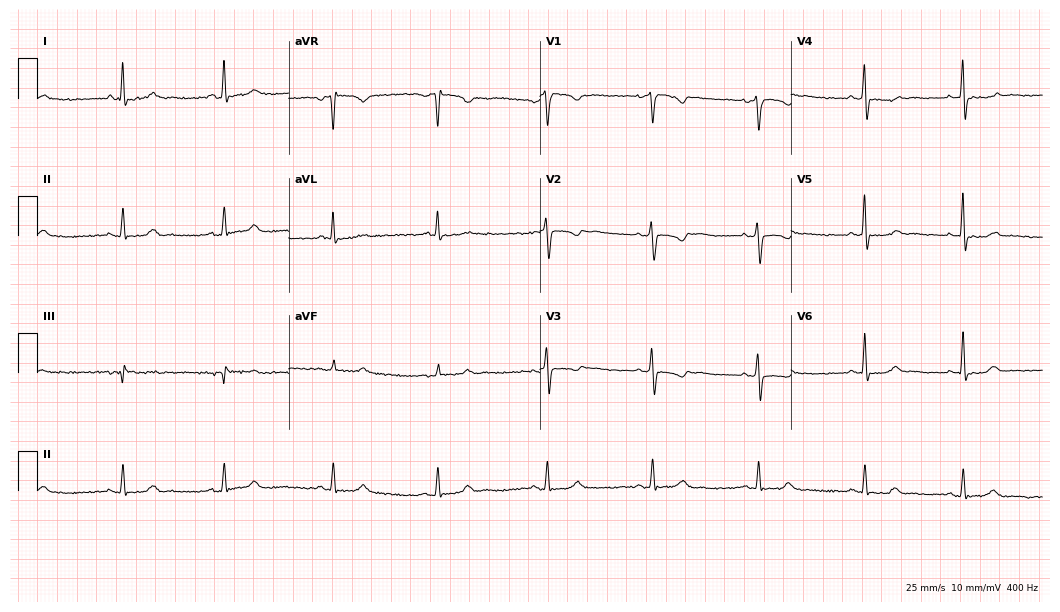
Resting 12-lead electrocardiogram (10.2-second recording at 400 Hz). Patient: a 42-year-old woman. None of these six findings is recorded: first-degree AV block, right bundle branch block (RBBB), left bundle branch block (LBBB), sinus bradycardia, atrial fibrillation (AF), sinus tachycardia.